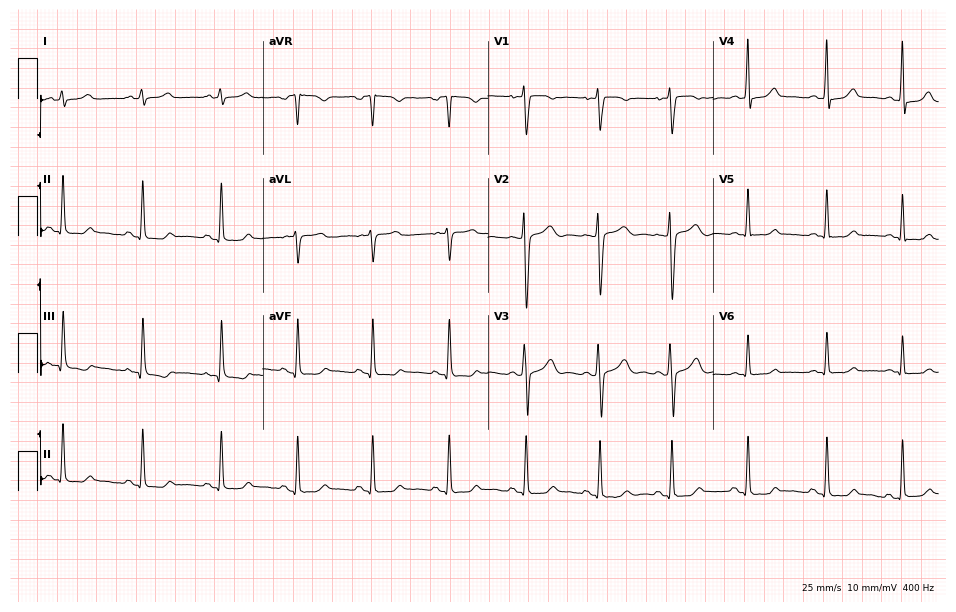
12-lead ECG (9.2-second recording at 400 Hz) from a 30-year-old female patient. Screened for six findings — first-degree AV block, right bundle branch block, left bundle branch block, sinus bradycardia, atrial fibrillation, sinus tachycardia — none is recorded.